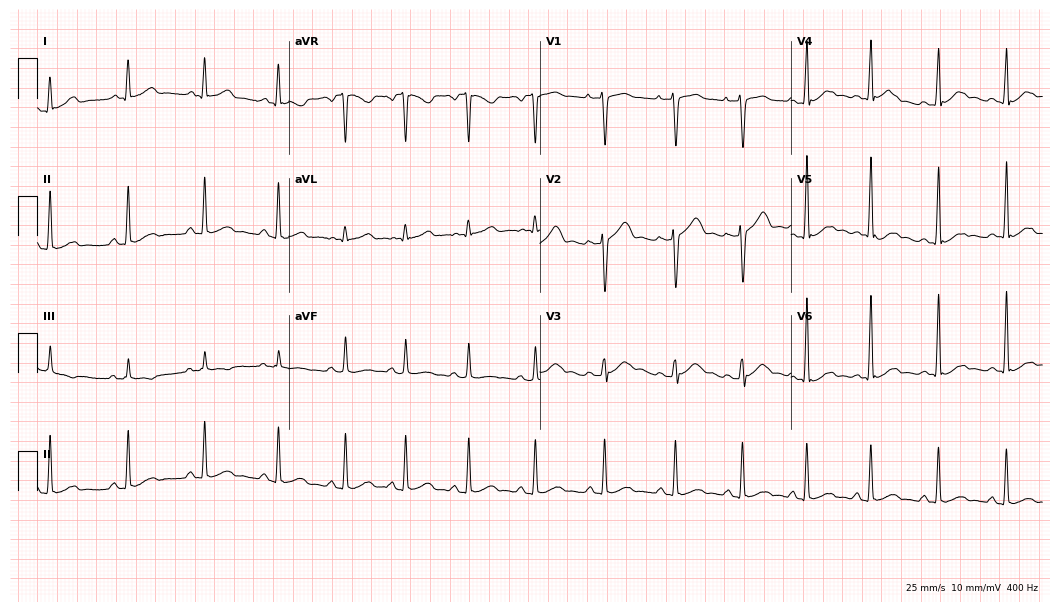
Electrocardiogram (10.2-second recording at 400 Hz), a male, 17 years old. Of the six screened findings (first-degree AV block, right bundle branch block (RBBB), left bundle branch block (LBBB), sinus bradycardia, atrial fibrillation (AF), sinus tachycardia), none is recorded.